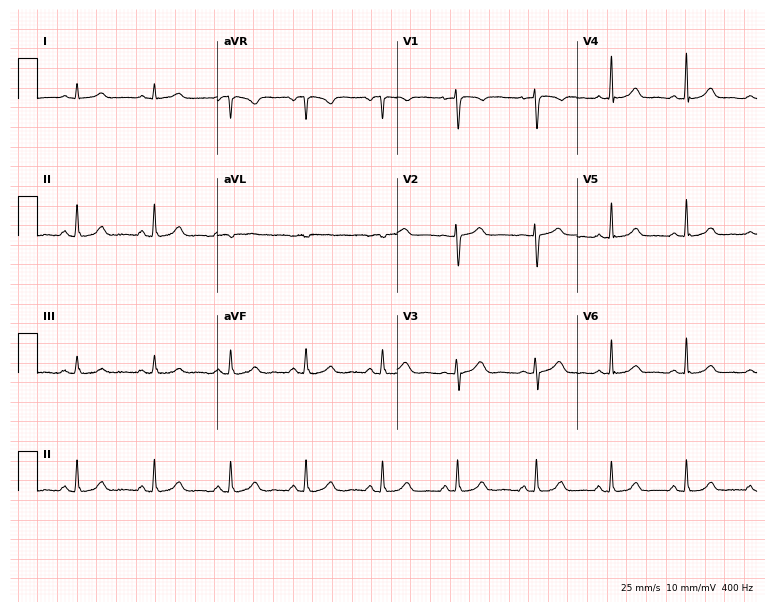
Standard 12-lead ECG recorded from a 28-year-old female patient. None of these six findings is recorded: first-degree AV block, right bundle branch block (RBBB), left bundle branch block (LBBB), sinus bradycardia, atrial fibrillation (AF), sinus tachycardia. Other findings, if any, are not listed.